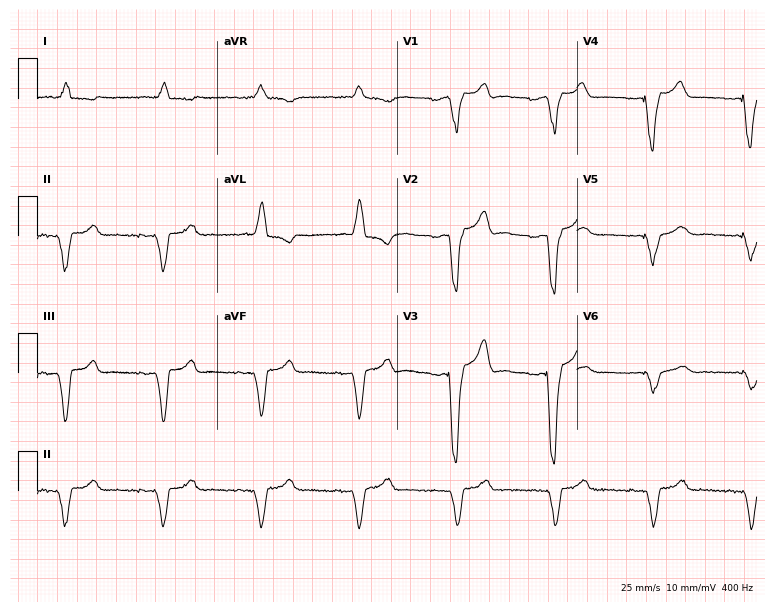
ECG (7.3-second recording at 400 Hz) — a man, 84 years old. Screened for six findings — first-degree AV block, right bundle branch block, left bundle branch block, sinus bradycardia, atrial fibrillation, sinus tachycardia — none is recorded. Only these six findings were labelled.